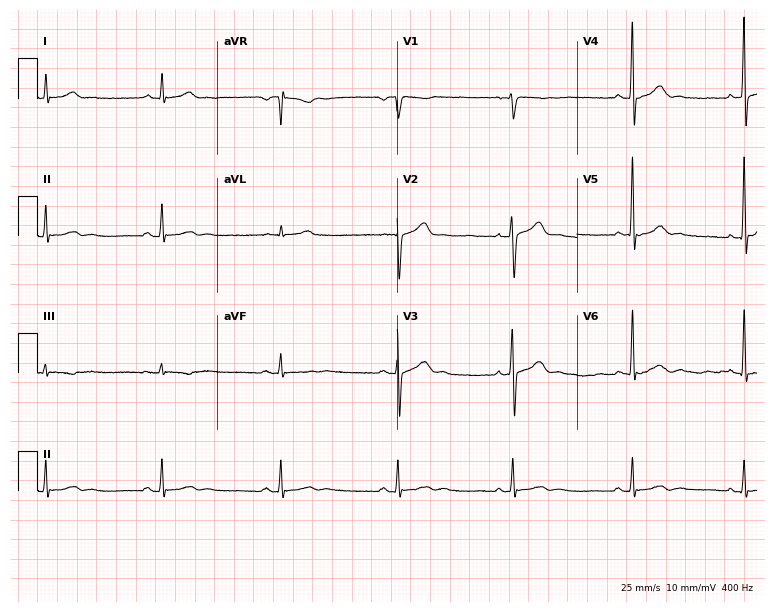
Electrocardiogram (7.3-second recording at 400 Hz), a 53-year-old man. Overall reading on record: normal ECG.